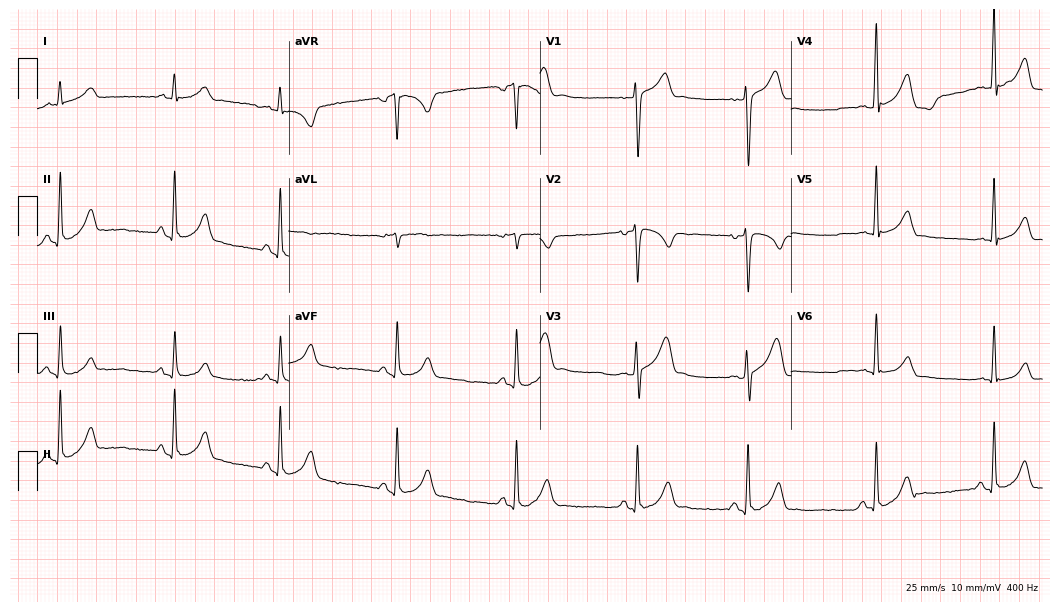
Standard 12-lead ECG recorded from an 18-year-old male patient (10.2-second recording at 400 Hz). Read as a normal ECG.